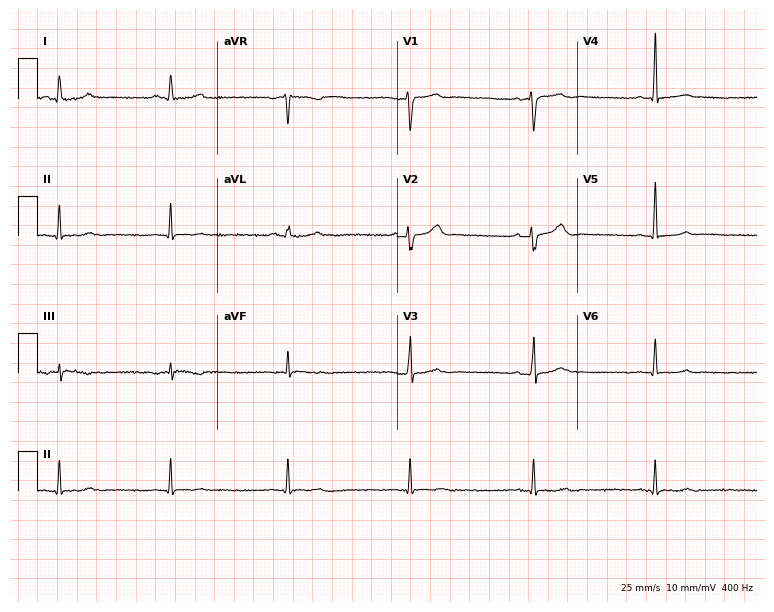
12-lead ECG from a 55-year-old female. No first-degree AV block, right bundle branch block, left bundle branch block, sinus bradycardia, atrial fibrillation or sinus tachycardia recorded for this tracing.